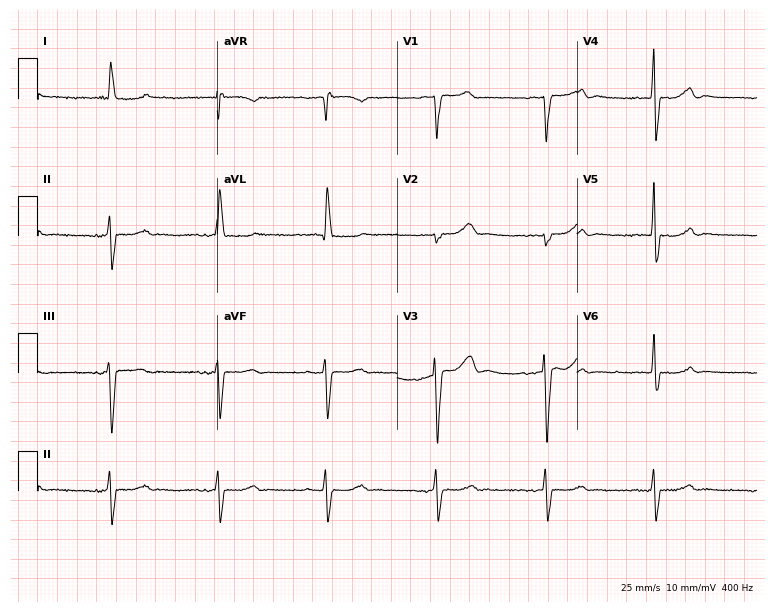
Resting 12-lead electrocardiogram. Patient: a female, 73 years old. None of these six findings is recorded: first-degree AV block, right bundle branch block, left bundle branch block, sinus bradycardia, atrial fibrillation, sinus tachycardia. Other findings, if any, are not listed.